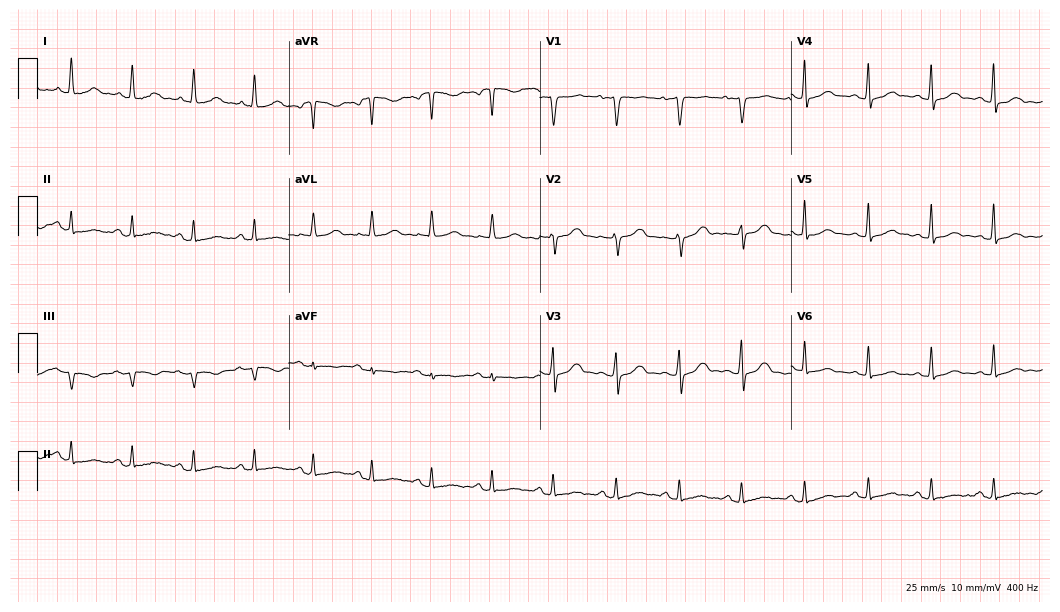
12-lead ECG from a female patient, 38 years old. No first-degree AV block, right bundle branch block, left bundle branch block, sinus bradycardia, atrial fibrillation or sinus tachycardia recorded for this tracing.